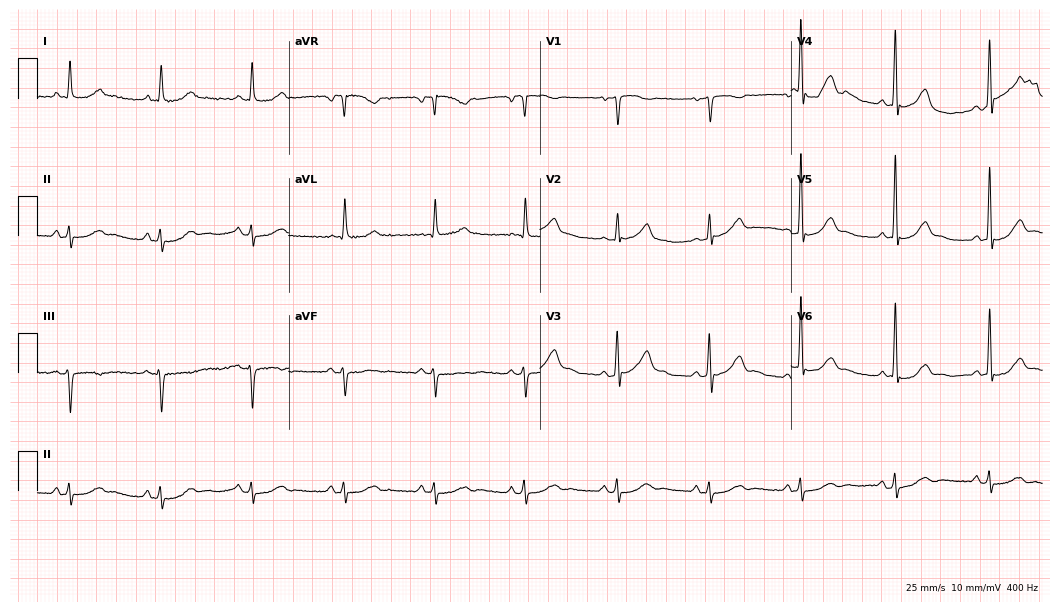
Resting 12-lead electrocardiogram (10.2-second recording at 400 Hz). Patient: a man, 64 years old. None of these six findings is recorded: first-degree AV block, right bundle branch block, left bundle branch block, sinus bradycardia, atrial fibrillation, sinus tachycardia. Only these six findings were labelled.